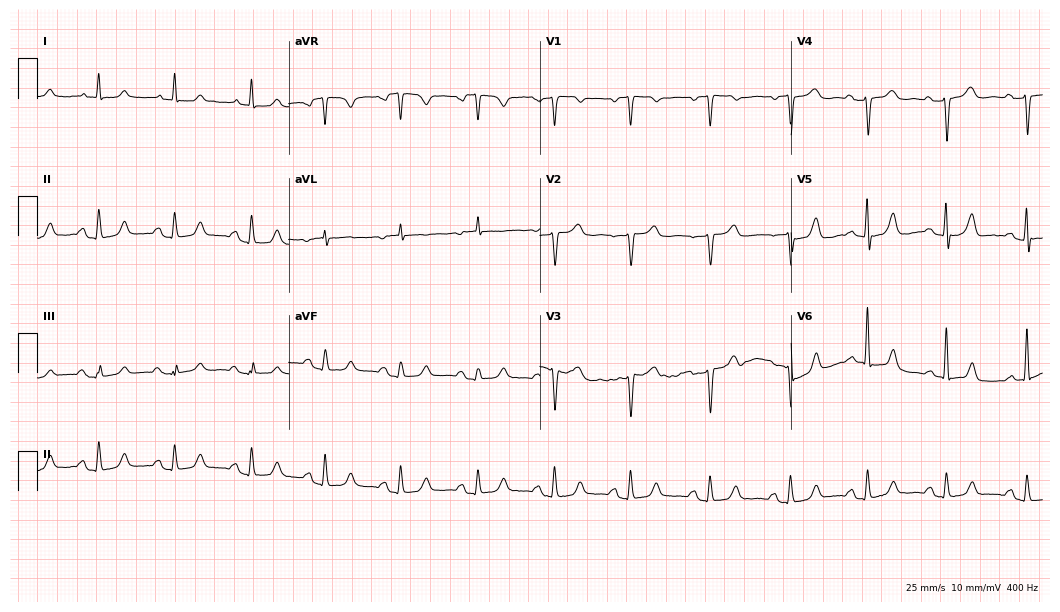
Electrocardiogram, a 75-year-old woman. Of the six screened findings (first-degree AV block, right bundle branch block, left bundle branch block, sinus bradycardia, atrial fibrillation, sinus tachycardia), none is recorded.